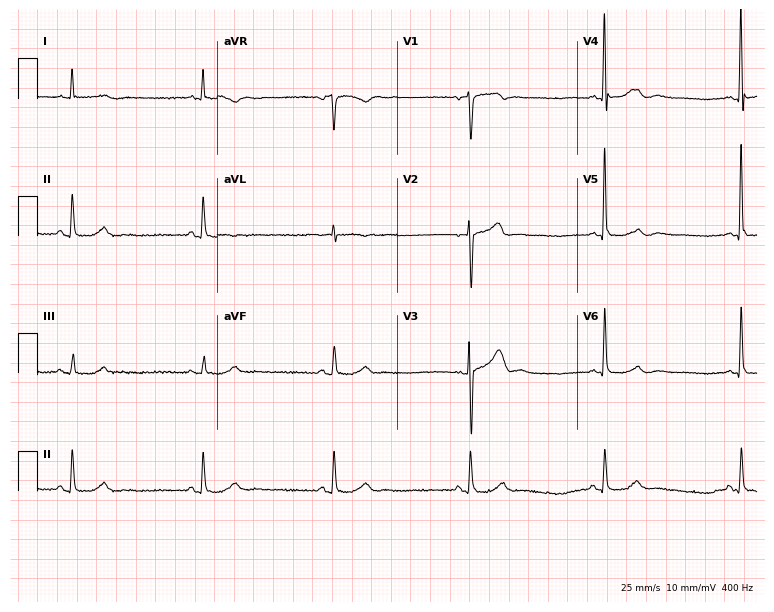
12-lead ECG from a man, 80 years old. Screened for six findings — first-degree AV block, right bundle branch block, left bundle branch block, sinus bradycardia, atrial fibrillation, sinus tachycardia — none is recorded. Only these six findings were labelled.